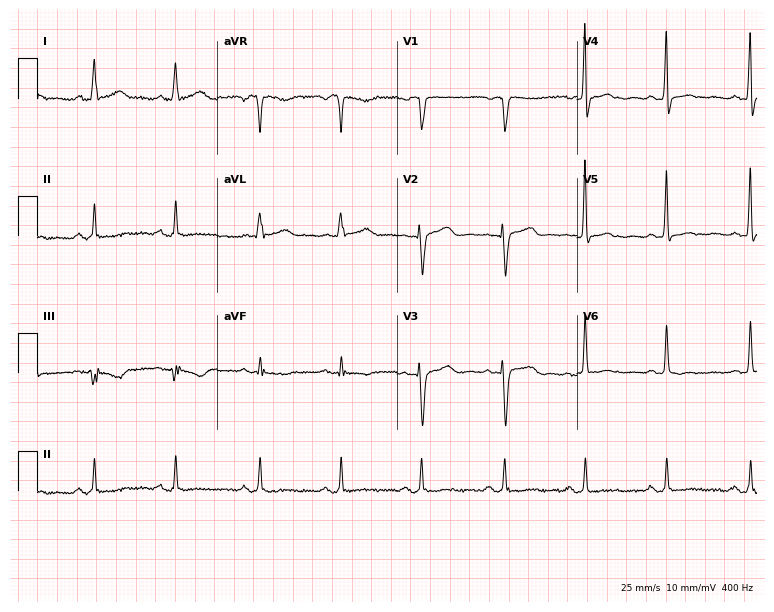
ECG — a female patient, 71 years old. Screened for six findings — first-degree AV block, right bundle branch block (RBBB), left bundle branch block (LBBB), sinus bradycardia, atrial fibrillation (AF), sinus tachycardia — none is recorded. Findings outside these six are not listed.